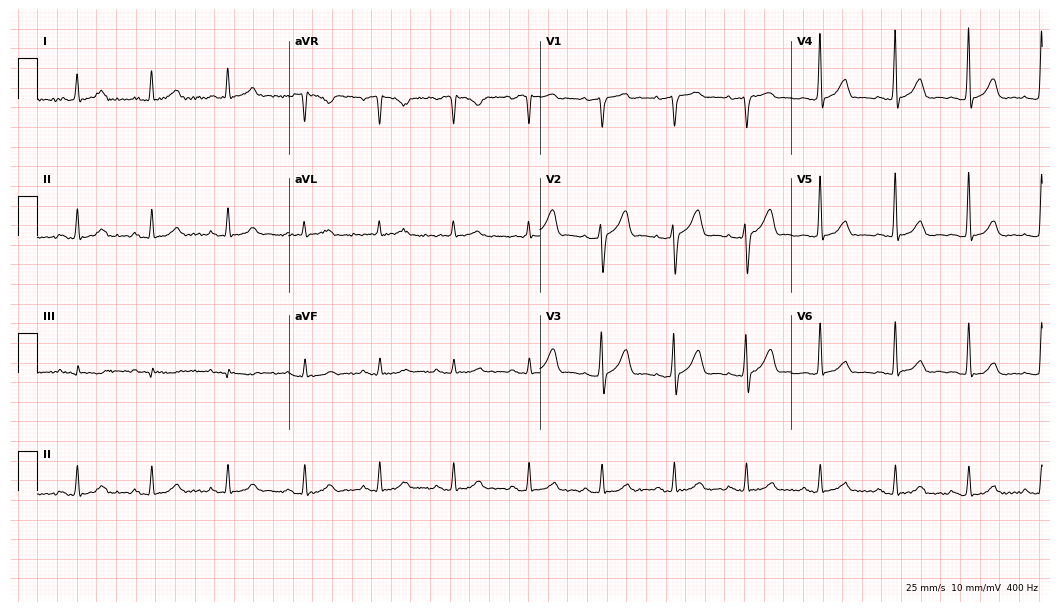
Resting 12-lead electrocardiogram (10.2-second recording at 400 Hz). Patient: an 82-year-old male. None of these six findings is recorded: first-degree AV block, right bundle branch block (RBBB), left bundle branch block (LBBB), sinus bradycardia, atrial fibrillation (AF), sinus tachycardia. Other findings, if any, are not listed.